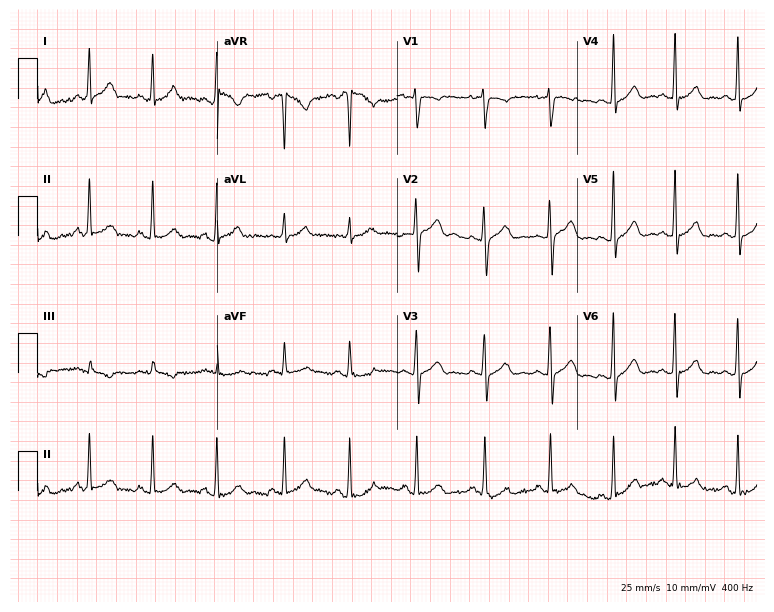
Electrocardiogram (7.3-second recording at 400 Hz), a 26-year-old female patient. Of the six screened findings (first-degree AV block, right bundle branch block, left bundle branch block, sinus bradycardia, atrial fibrillation, sinus tachycardia), none is recorded.